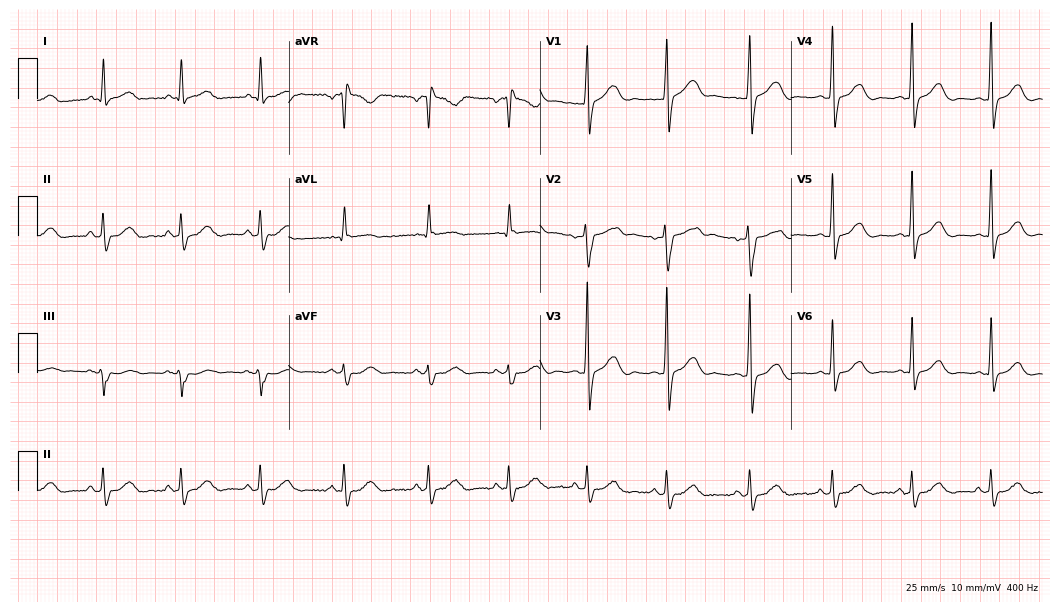
ECG (10.2-second recording at 400 Hz) — a 52-year-old man. Screened for six findings — first-degree AV block, right bundle branch block, left bundle branch block, sinus bradycardia, atrial fibrillation, sinus tachycardia — none is recorded.